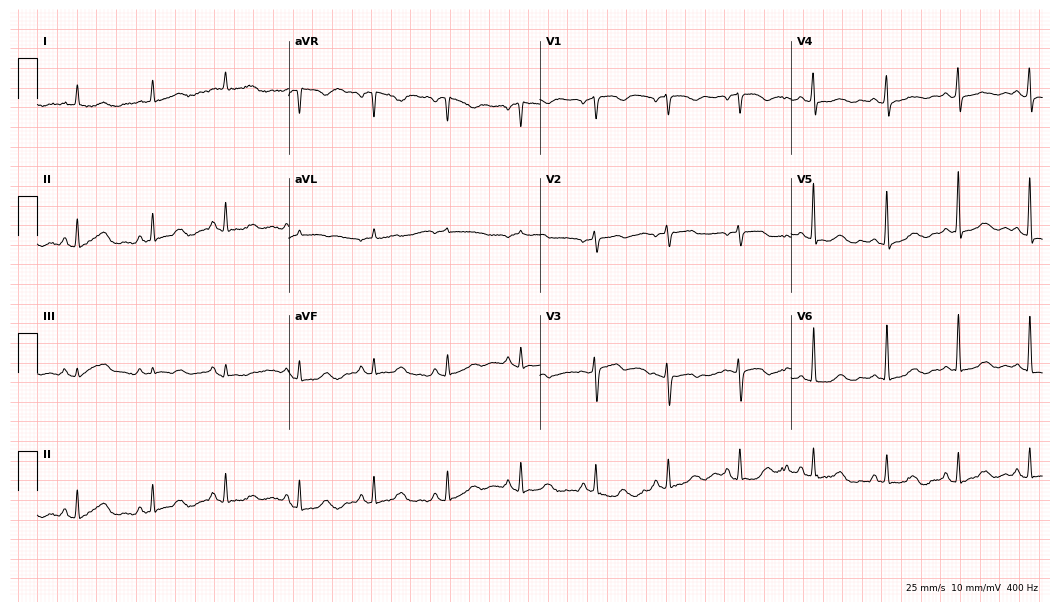
Standard 12-lead ECG recorded from a 65-year-old female (10.2-second recording at 400 Hz). Read as a normal ECG.